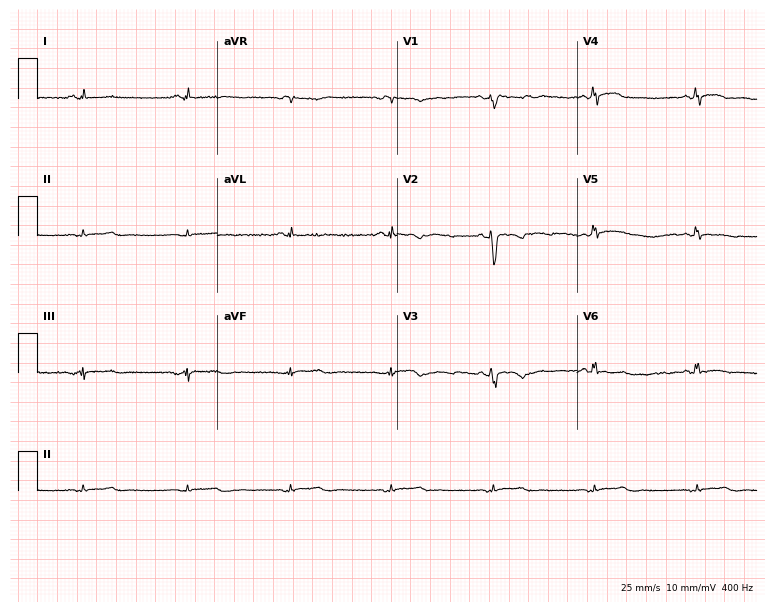
ECG (7.3-second recording at 400 Hz) — a 45-year-old male patient. Screened for six findings — first-degree AV block, right bundle branch block (RBBB), left bundle branch block (LBBB), sinus bradycardia, atrial fibrillation (AF), sinus tachycardia — none is recorded.